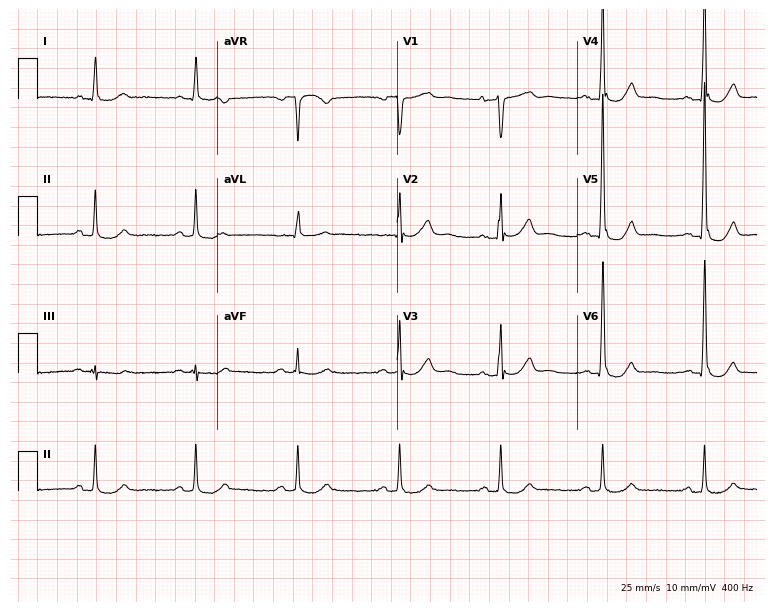
Resting 12-lead electrocardiogram (7.3-second recording at 400 Hz). Patient: an 85-year-old woman. Read as a normal ECG.